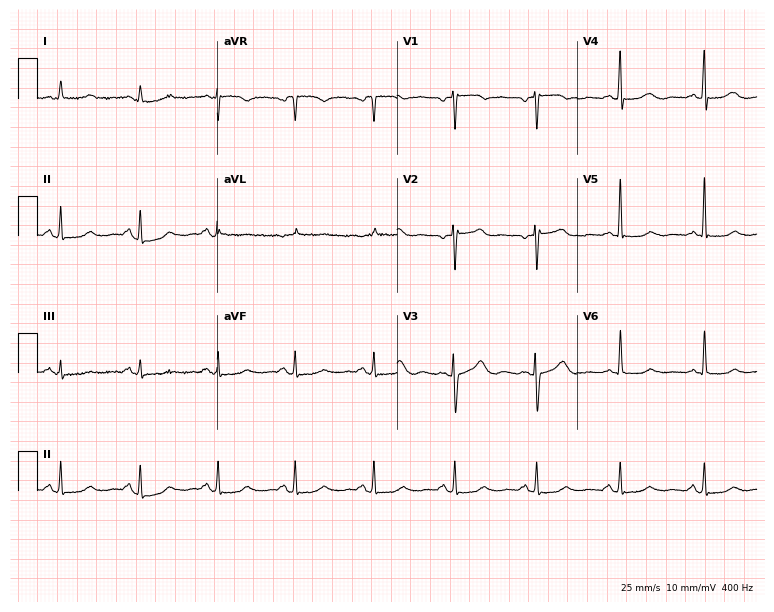
12-lead ECG from a woman, 55 years old. No first-degree AV block, right bundle branch block, left bundle branch block, sinus bradycardia, atrial fibrillation or sinus tachycardia recorded for this tracing. Findings outside these six are not listed.